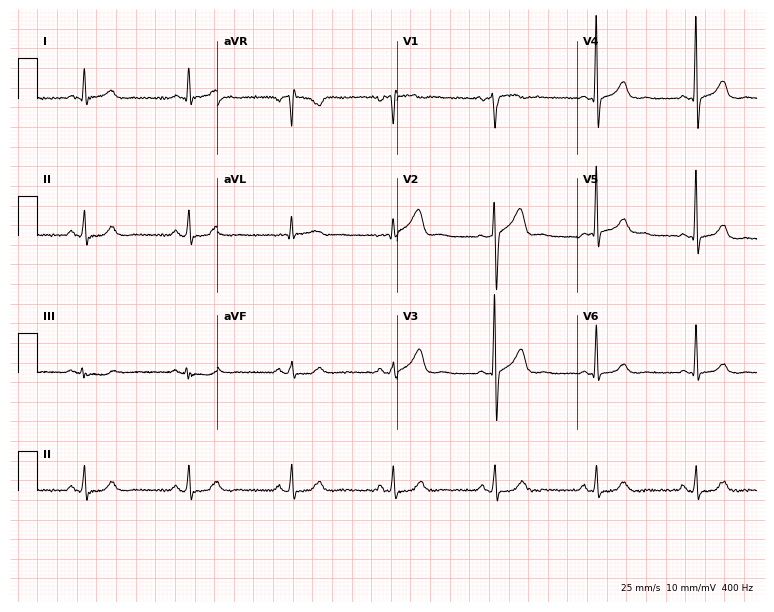
Electrocardiogram, a 61-year-old male. Overall reading on record: normal ECG.